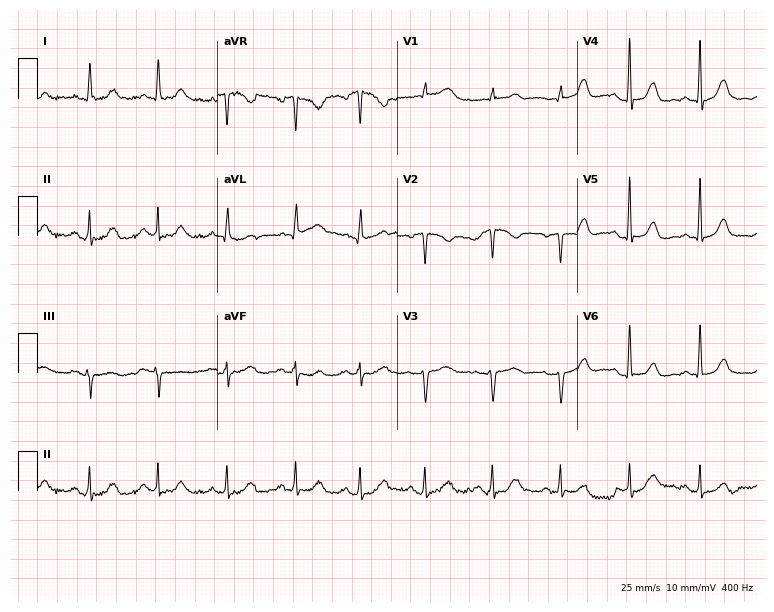
12-lead ECG from a 60-year-old female patient. Screened for six findings — first-degree AV block, right bundle branch block, left bundle branch block, sinus bradycardia, atrial fibrillation, sinus tachycardia — none is recorded. Other findings, if any, are not listed.